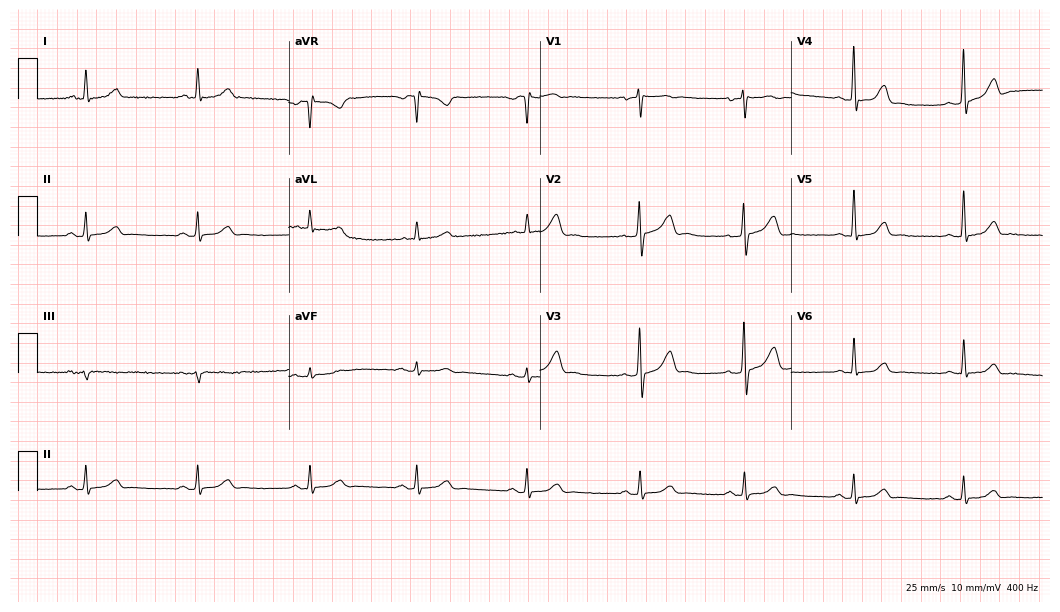
Resting 12-lead electrocardiogram. Patient: a 35-year-old male. None of these six findings is recorded: first-degree AV block, right bundle branch block, left bundle branch block, sinus bradycardia, atrial fibrillation, sinus tachycardia. Only these six findings were labelled.